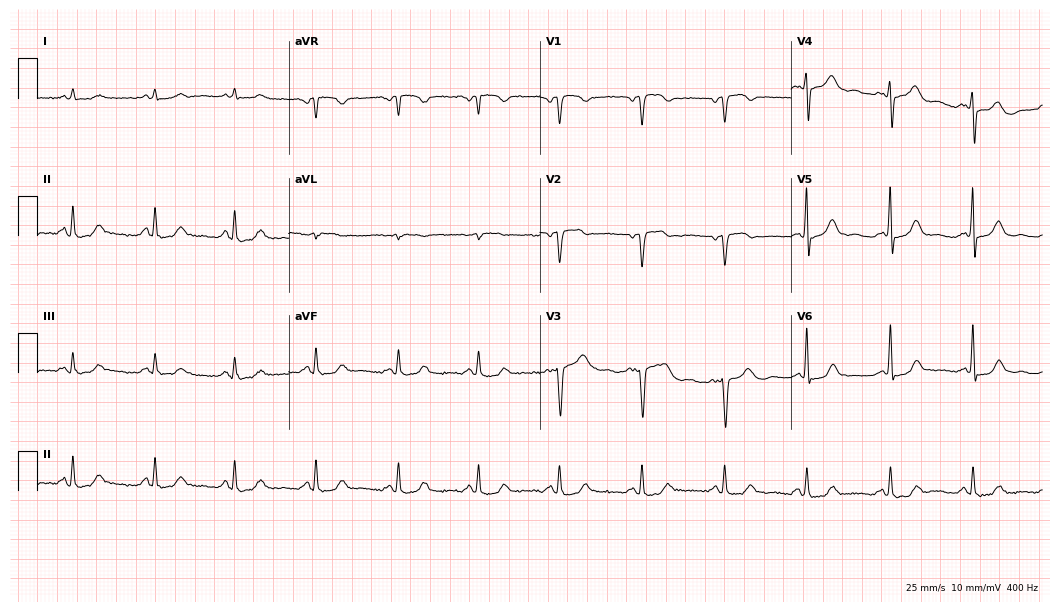
ECG — a female patient, 76 years old. Screened for six findings — first-degree AV block, right bundle branch block (RBBB), left bundle branch block (LBBB), sinus bradycardia, atrial fibrillation (AF), sinus tachycardia — none is recorded. Findings outside these six are not listed.